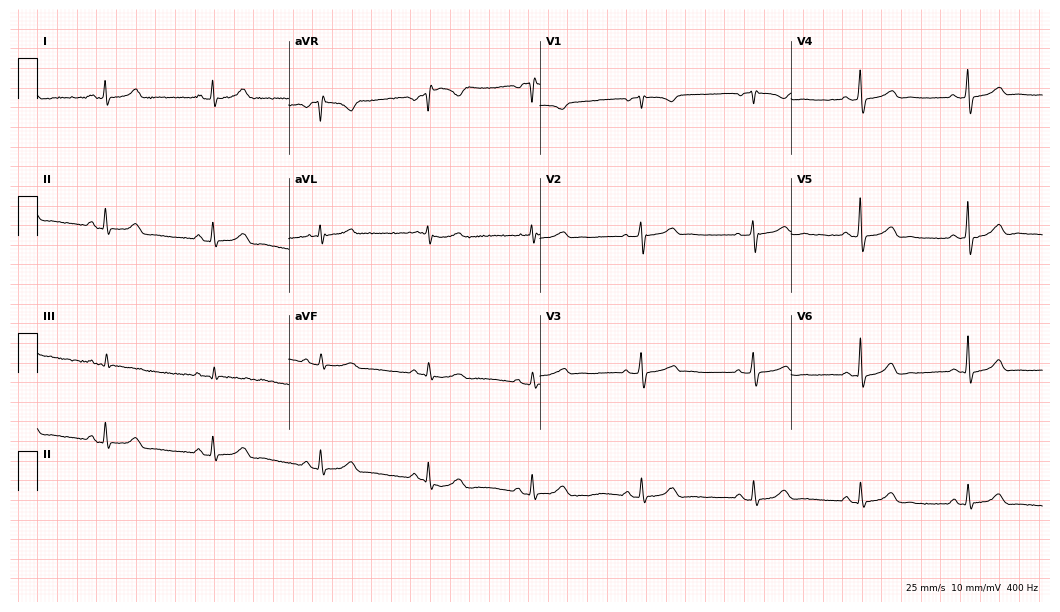
ECG — a 47-year-old female. Labelled as a normal ECG.